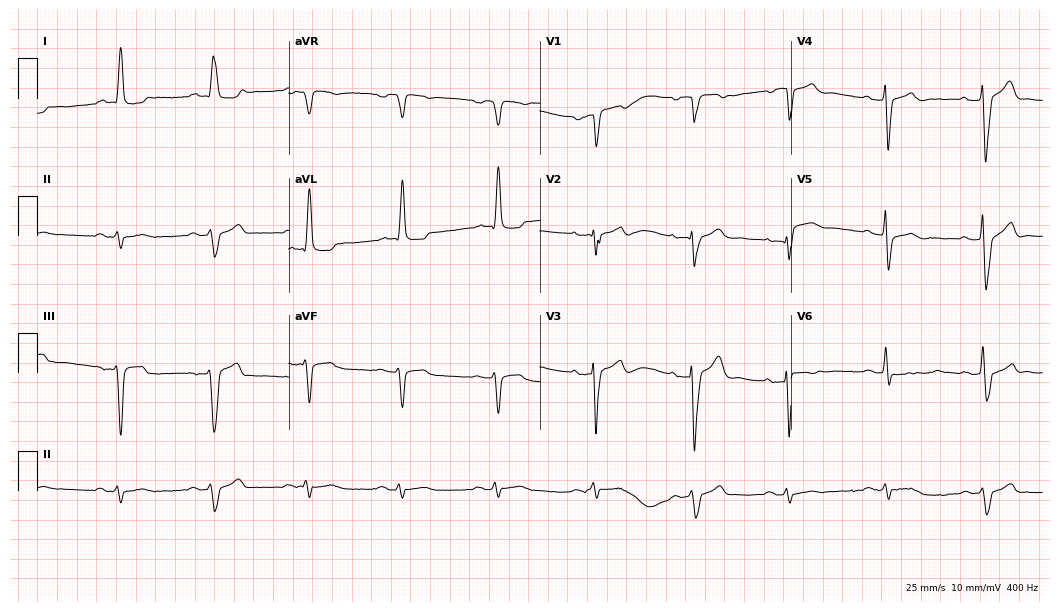
ECG (10.2-second recording at 400 Hz) — a male, 85 years old. Findings include left bundle branch block.